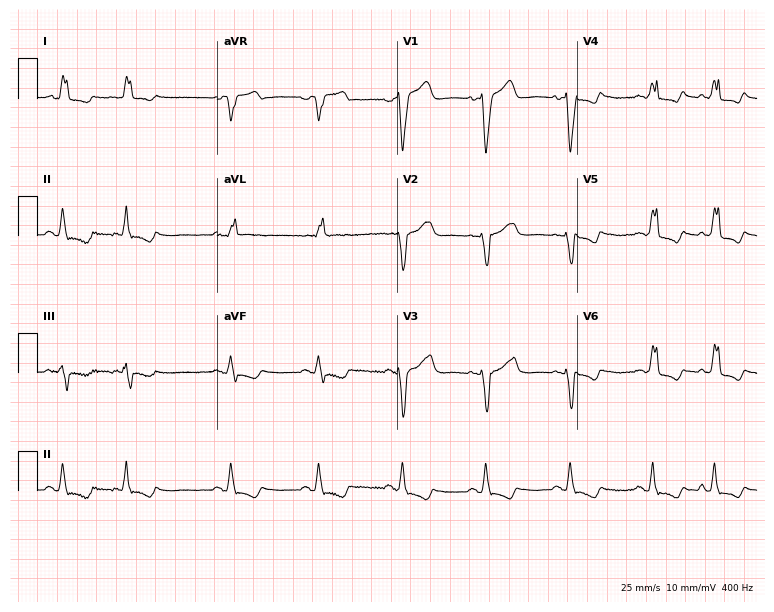
12-lead ECG from a female, 75 years old. Findings include left bundle branch block.